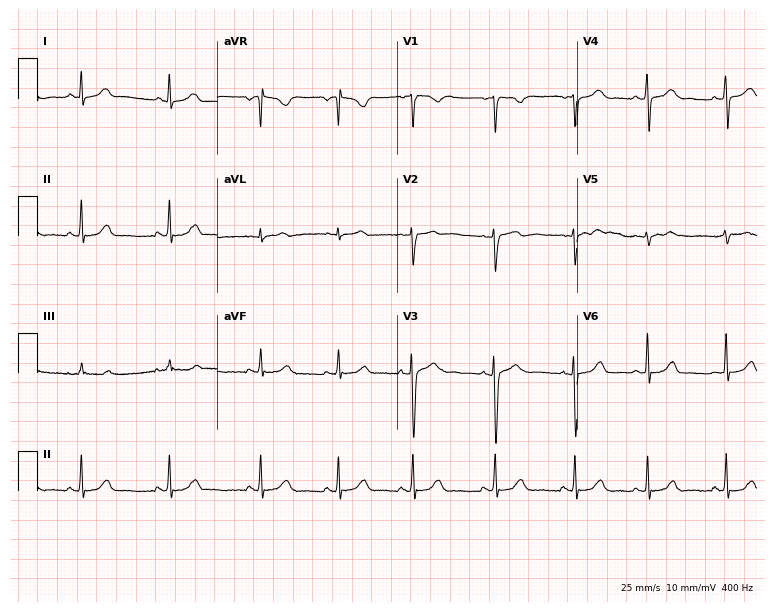
Resting 12-lead electrocardiogram. Patient: a woman, 23 years old. Read as a normal ECG.